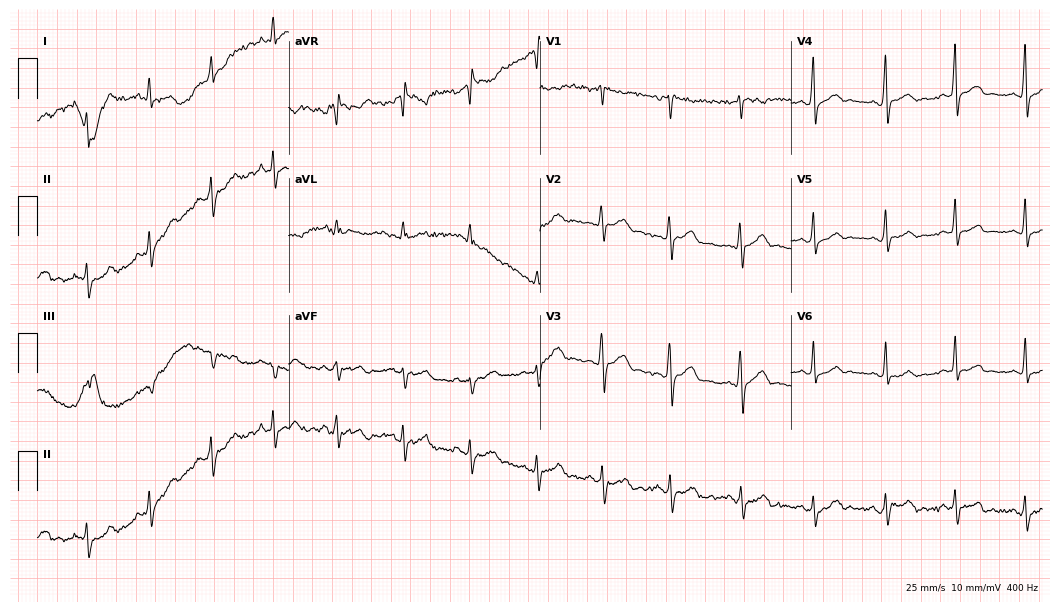
Standard 12-lead ECG recorded from a 27-year-old male patient (10.2-second recording at 400 Hz). None of these six findings is recorded: first-degree AV block, right bundle branch block (RBBB), left bundle branch block (LBBB), sinus bradycardia, atrial fibrillation (AF), sinus tachycardia. Only these six findings were labelled.